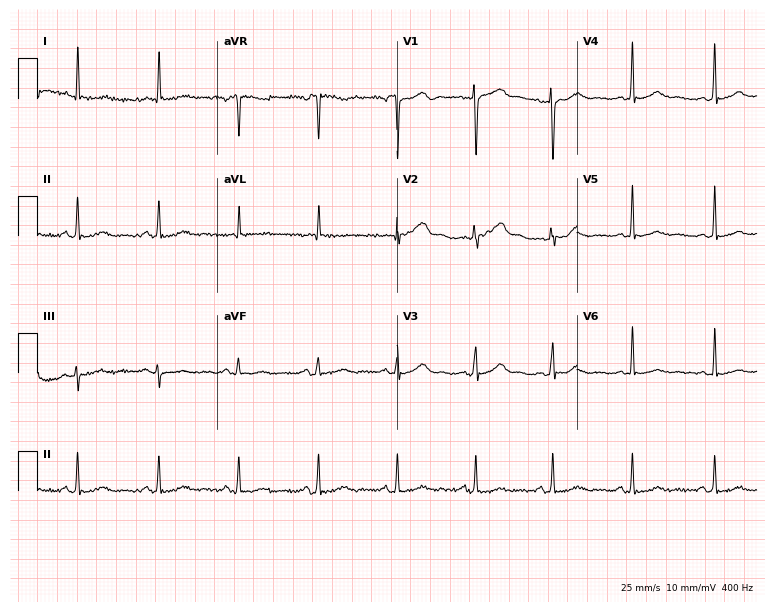
Standard 12-lead ECG recorded from a woman, 46 years old. None of these six findings is recorded: first-degree AV block, right bundle branch block, left bundle branch block, sinus bradycardia, atrial fibrillation, sinus tachycardia.